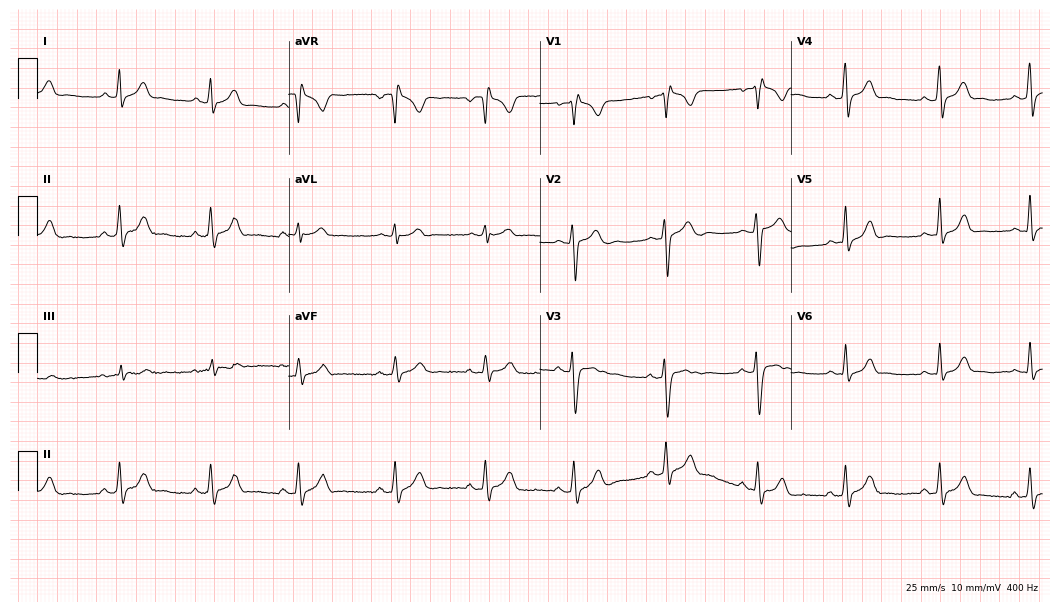
Standard 12-lead ECG recorded from a male patient, 22 years old. None of these six findings is recorded: first-degree AV block, right bundle branch block, left bundle branch block, sinus bradycardia, atrial fibrillation, sinus tachycardia. Only these six findings were labelled.